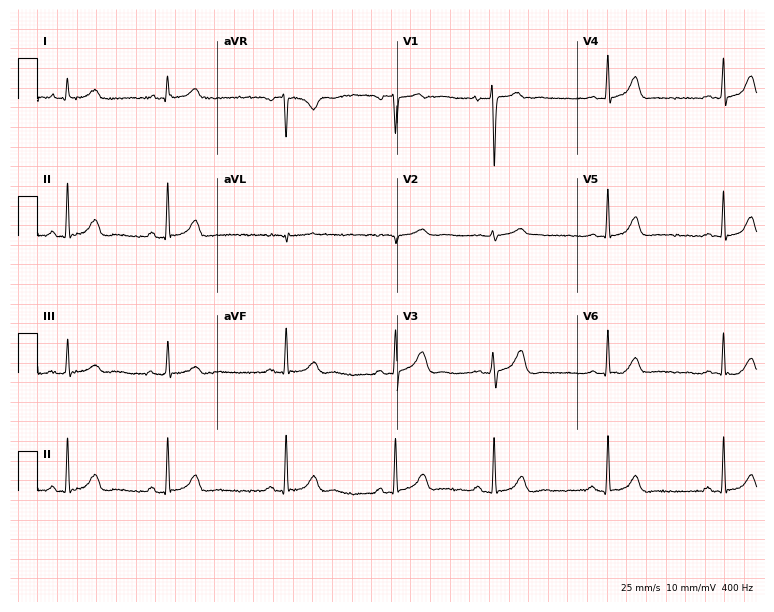
Resting 12-lead electrocardiogram (7.3-second recording at 400 Hz). Patient: a woman, 32 years old. Read as a normal ECG.